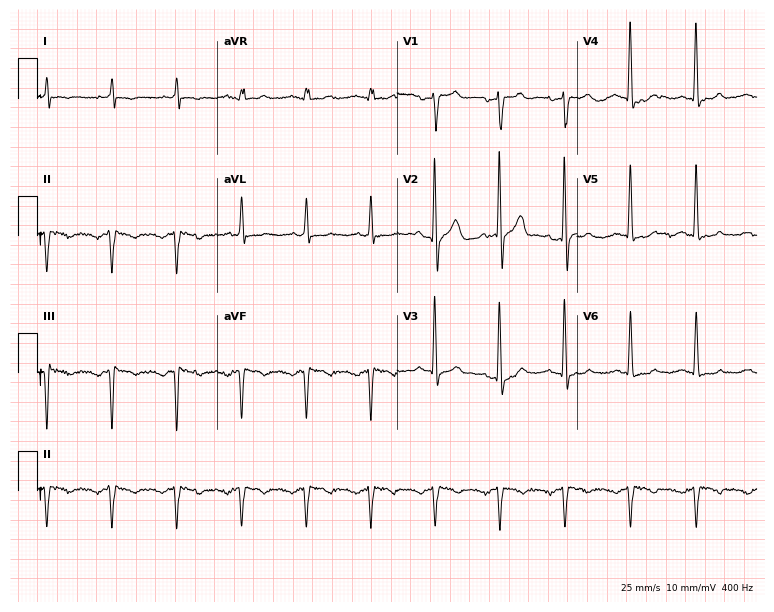
12-lead ECG from a man, 84 years old. Screened for six findings — first-degree AV block, right bundle branch block, left bundle branch block, sinus bradycardia, atrial fibrillation, sinus tachycardia — none is recorded.